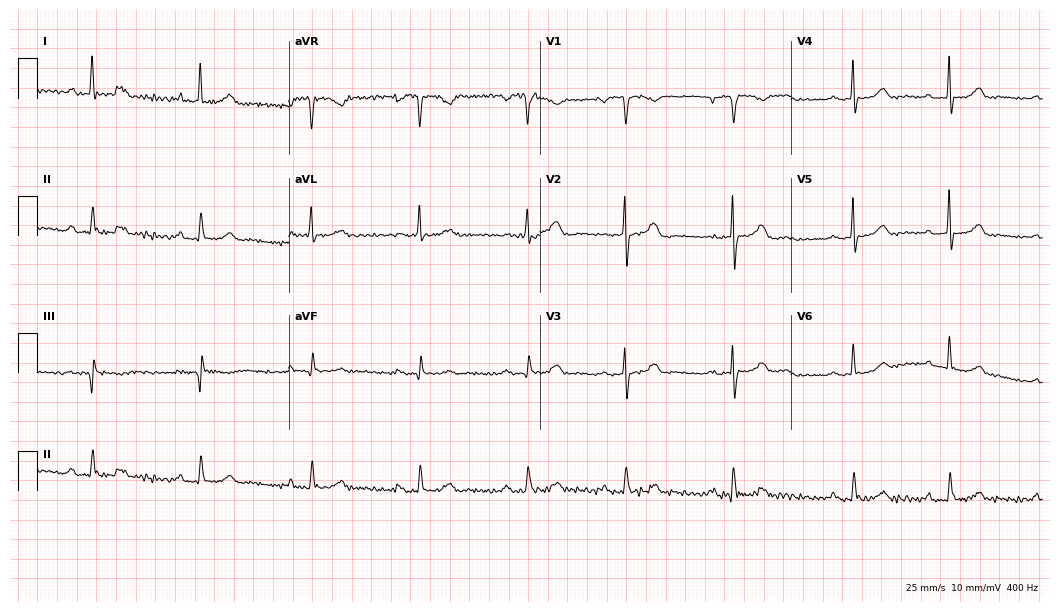
12-lead ECG from a 76-year-old female patient. Recorded interpretation: within normal limits.